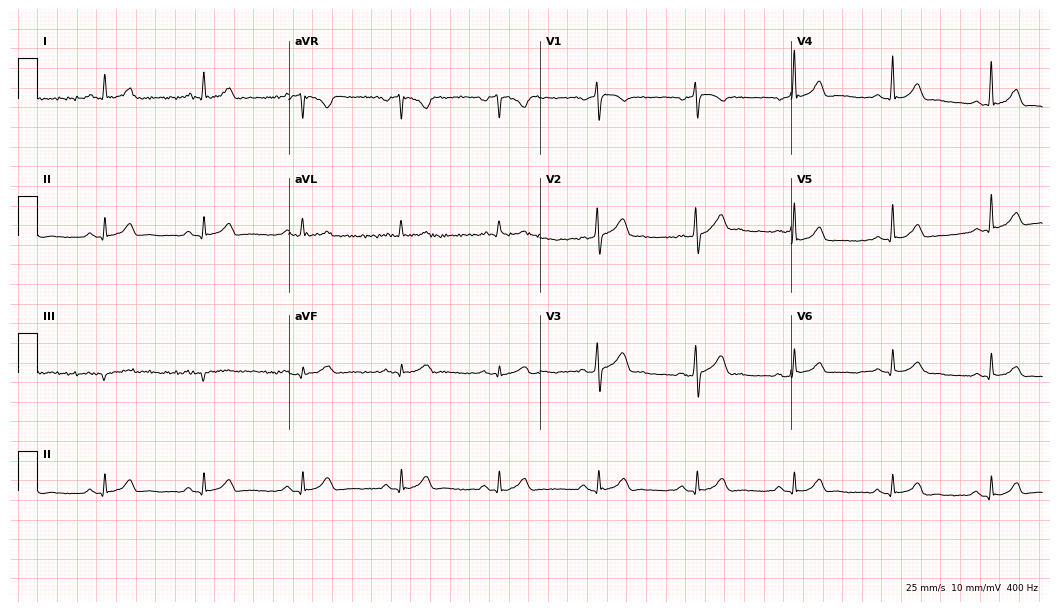
Electrocardiogram (10.2-second recording at 400 Hz), a 66-year-old male patient. Overall reading on record: normal ECG.